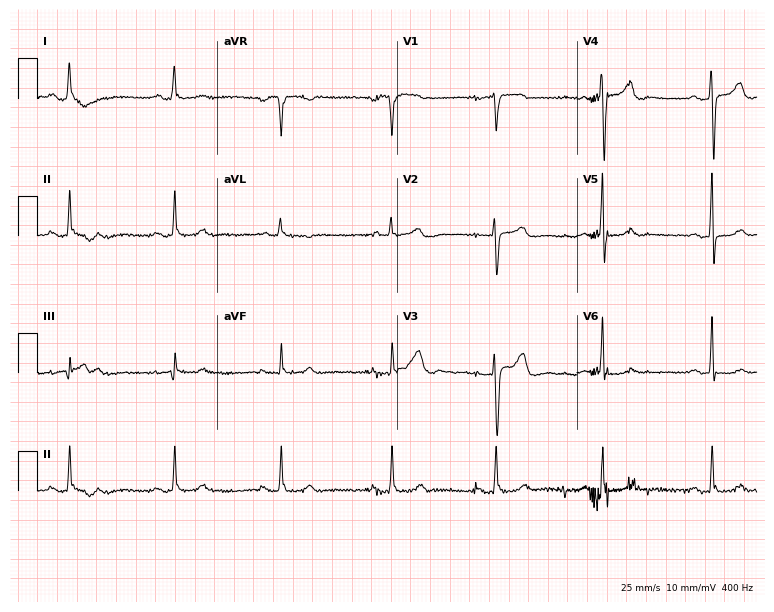
Resting 12-lead electrocardiogram. Patient: a 54-year-old woman. None of these six findings is recorded: first-degree AV block, right bundle branch block (RBBB), left bundle branch block (LBBB), sinus bradycardia, atrial fibrillation (AF), sinus tachycardia.